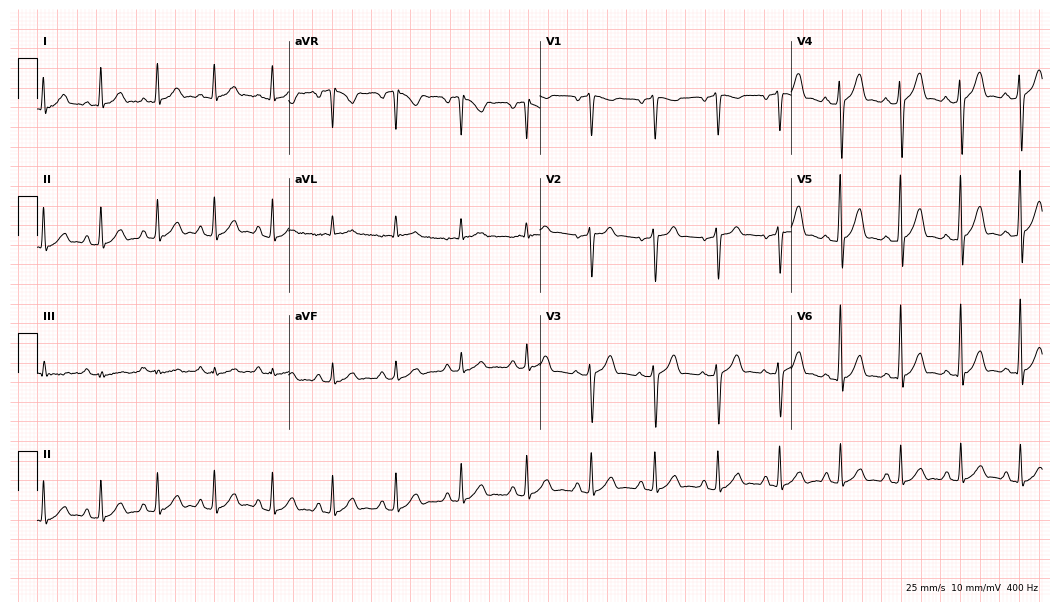
Resting 12-lead electrocardiogram. Patient: a 29-year-old male. Read as a normal ECG.